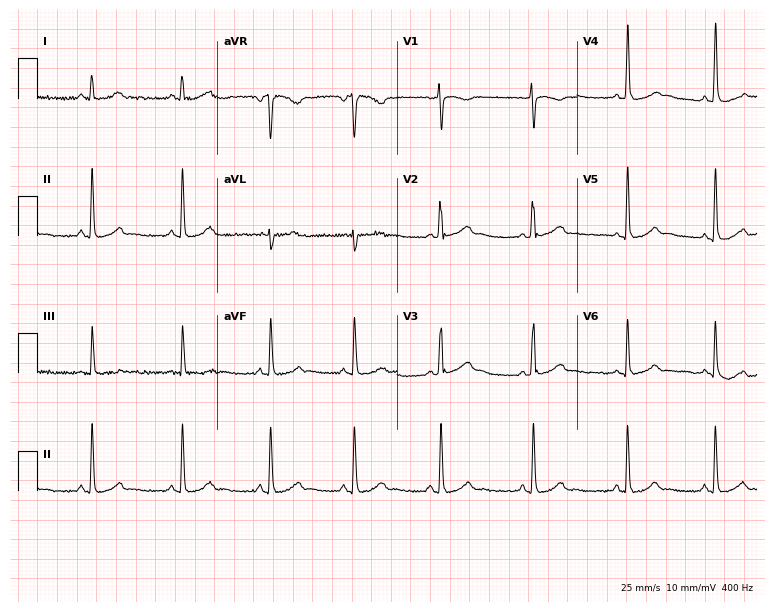
Resting 12-lead electrocardiogram (7.3-second recording at 400 Hz). Patient: a 23-year-old female. Read as a normal ECG.